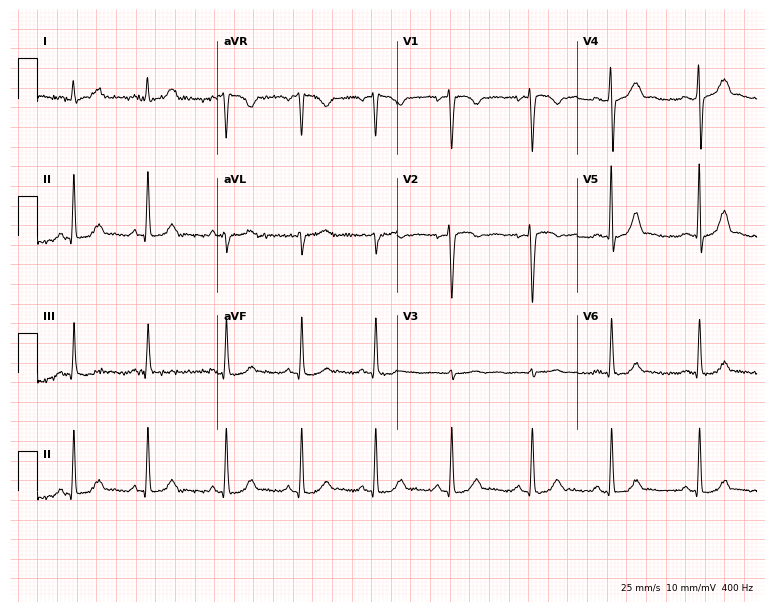
ECG (7.3-second recording at 400 Hz) — a 28-year-old female. Screened for six findings — first-degree AV block, right bundle branch block, left bundle branch block, sinus bradycardia, atrial fibrillation, sinus tachycardia — none is recorded.